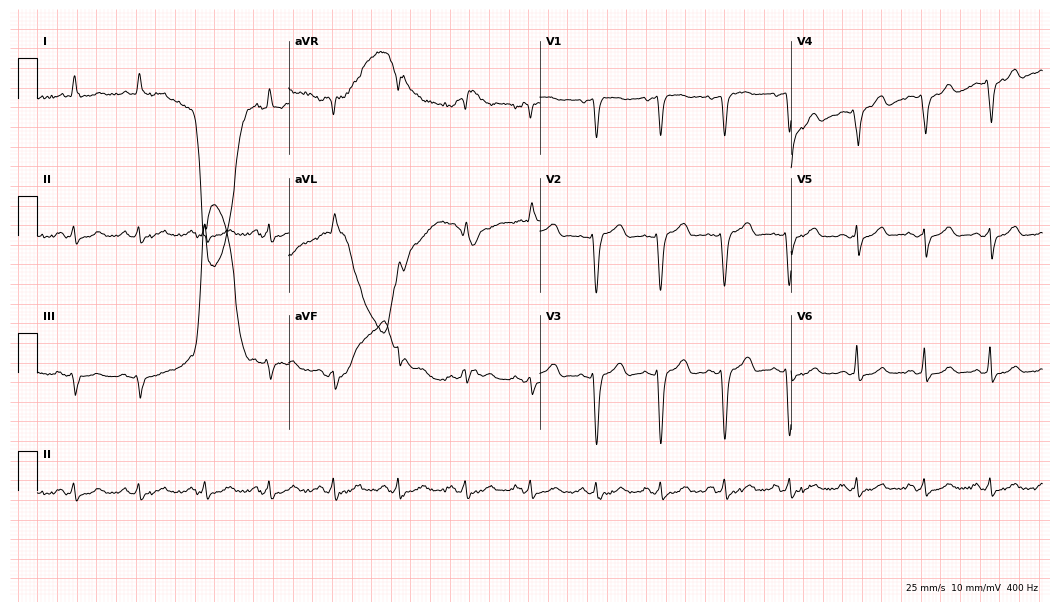
Resting 12-lead electrocardiogram (10.2-second recording at 400 Hz). Patient: a 72-year-old female. None of these six findings is recorded: first-degree AV block, right bundle branch block (RBBB), left bundle branch block (LBBB), sinus bradycardia, atrial fibrillation (AF), sinus tachycardia. Other findings, if any, are not listed.